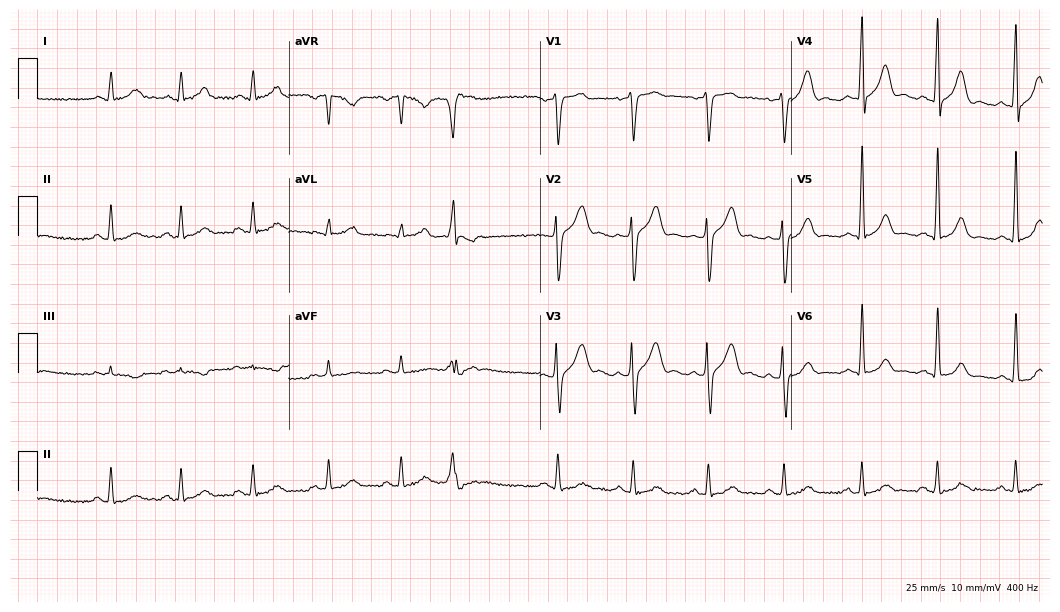
12-lead ECG from a man, 63 years old. Screened for six findings — first-degree AV block, right bundle branch block, left bundle branch block, sinus bradycardia, atrial fibrillation, sinus tachycardia — none is recorded. Other findings, if any, are not listed.